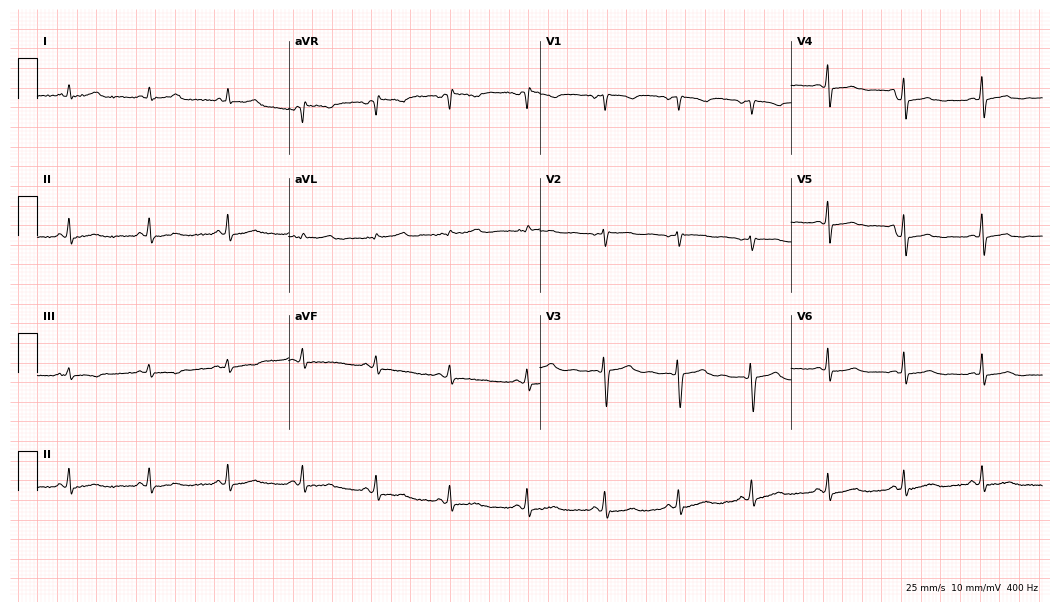
Resting 12-lead electrocardiogram (10.2-second recording at 400 Hz). Patient: a 29-year-old female. Read as a normal ECG.